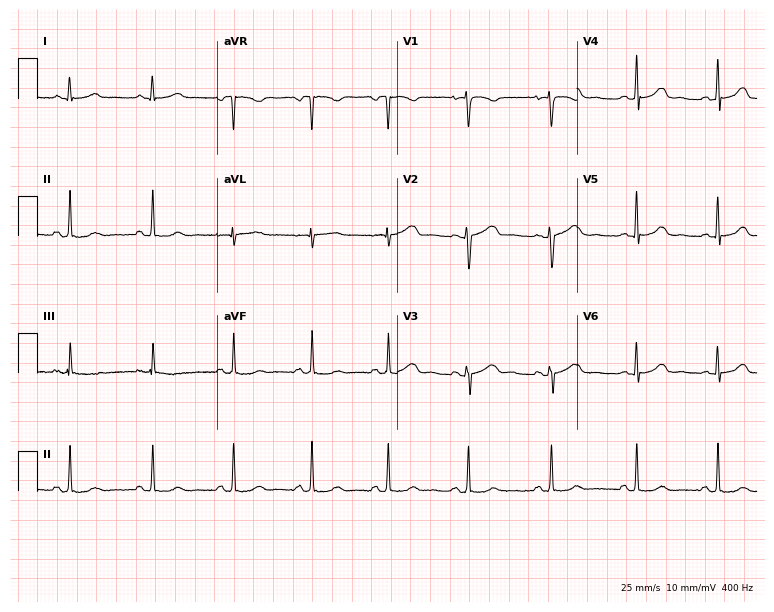
12-lead ECG from a woman, 51 years old. Recorded interpretation: within normal limits.